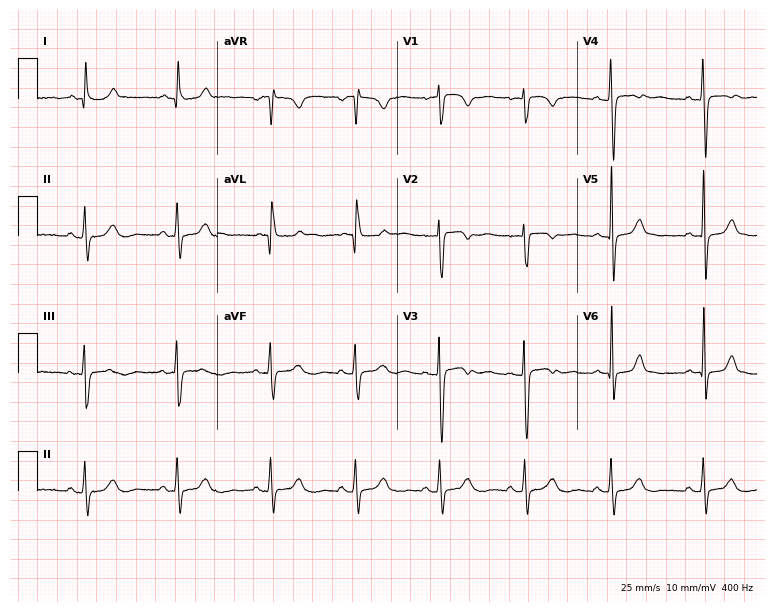
12-lead ECG from a woman, 44 years old. No first-degree AV block, right bundle branch block, left bundle branch block, sinus bradycardia, atrial fibrillation or sinus tachycardia recorded for this tracing.